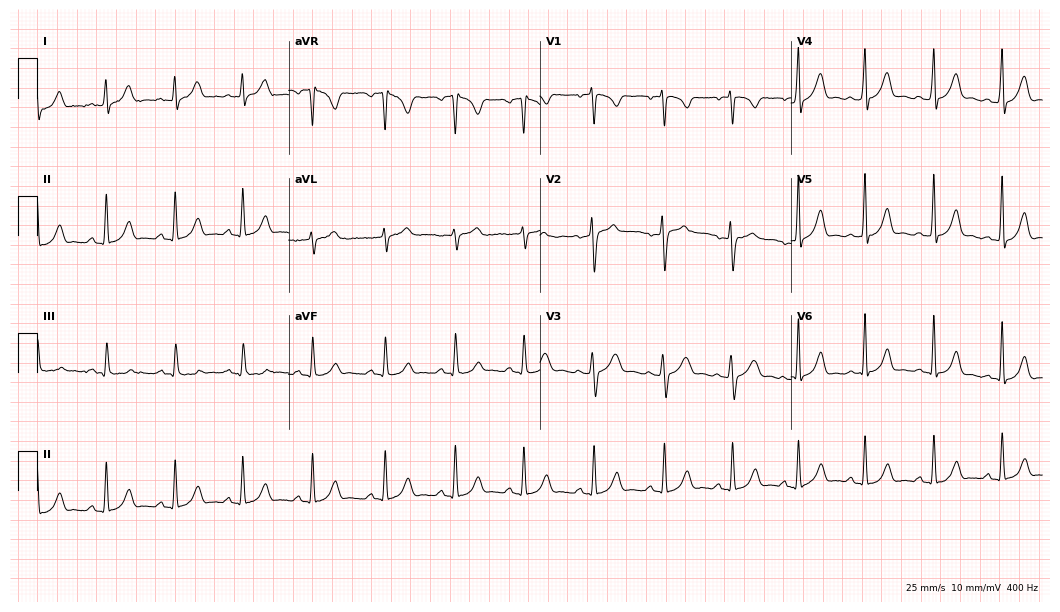
Standard 12-lead ECG recorded from a 21-year-old female patient. None of these six findings is recorded: first-degree AV block, right bundle branch block, left bundle branch block, sinus bradycardia, atrial fibrillation, sinus tachycardia. Only these six findings were labelled.